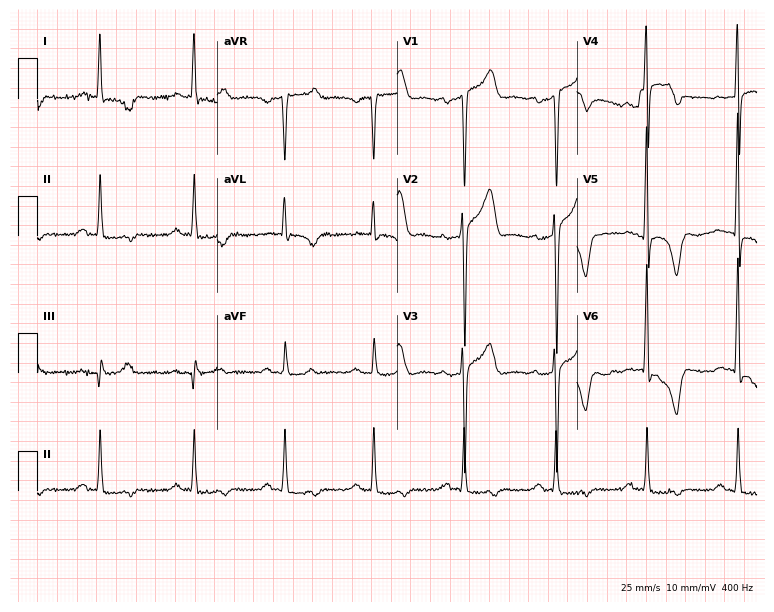
Resting 12-lead electrocardiogram (7.3-second recording at 400 Hz). Patient: a male, 52 years old. None of these six findings is recorded: first-degree AV block, right bundle branch block, left bundle branch block, sinus bradycardia, atrial fibrillation, sinus tachycardia.